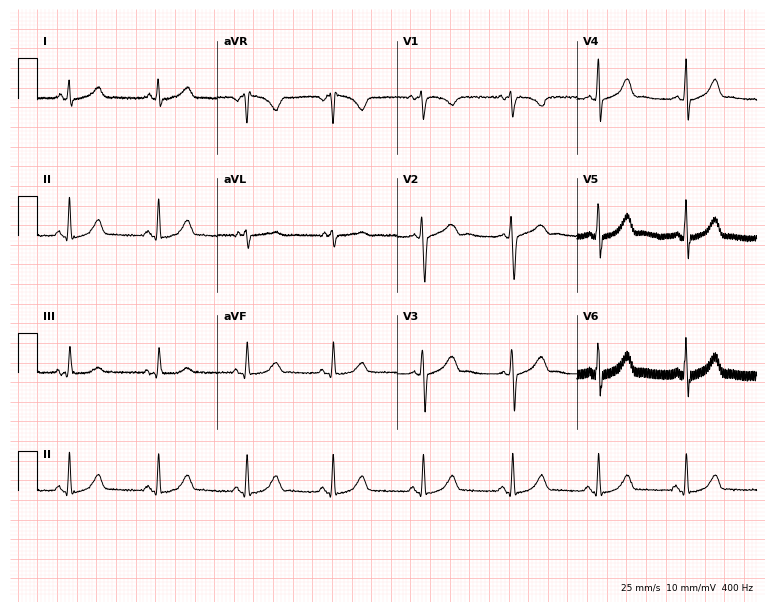
12-lead ECG (7.3-second recording at 400 Hz) from a female, 22 years old. Labelled as a normal ECG.